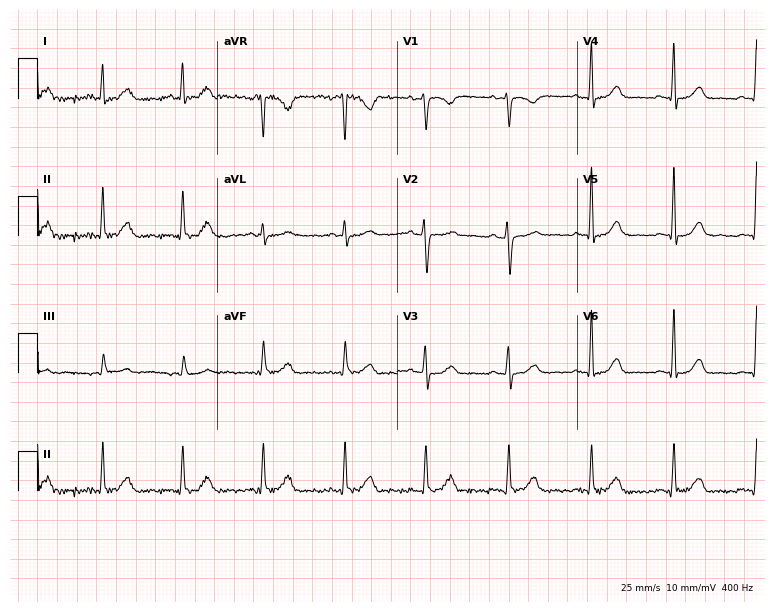
ECG (7.3-second recording at 400 Hz) — a 54-year-old female patient. Labelled as a normal ECG.